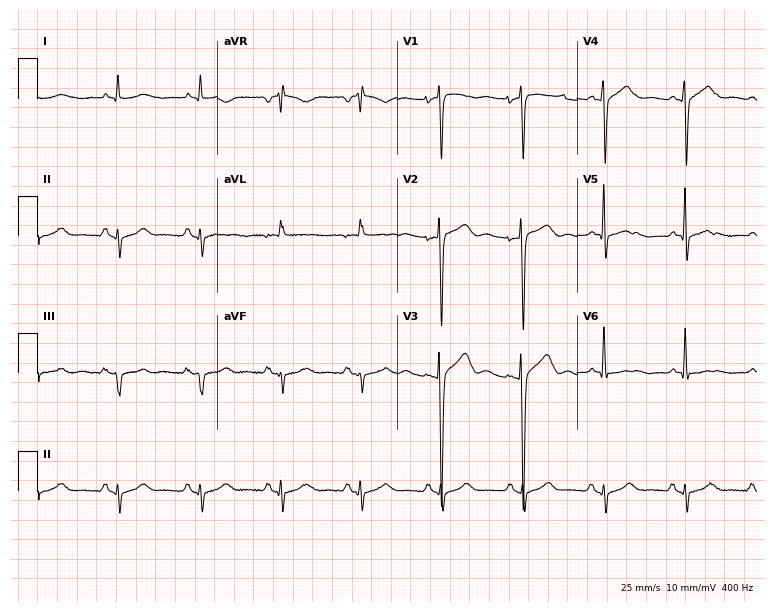
Resting 12-lead electrocardiogram (7.3-second recording at 400 Hz). Patient: a 61-year-old woman. None of these six findings is recorded: first-degree AV block, right bundle branch block (RBBB), left bundle branch block (LBBB), sinus bradycardia, atrial fibrillation (AF), sinus tachycardia.